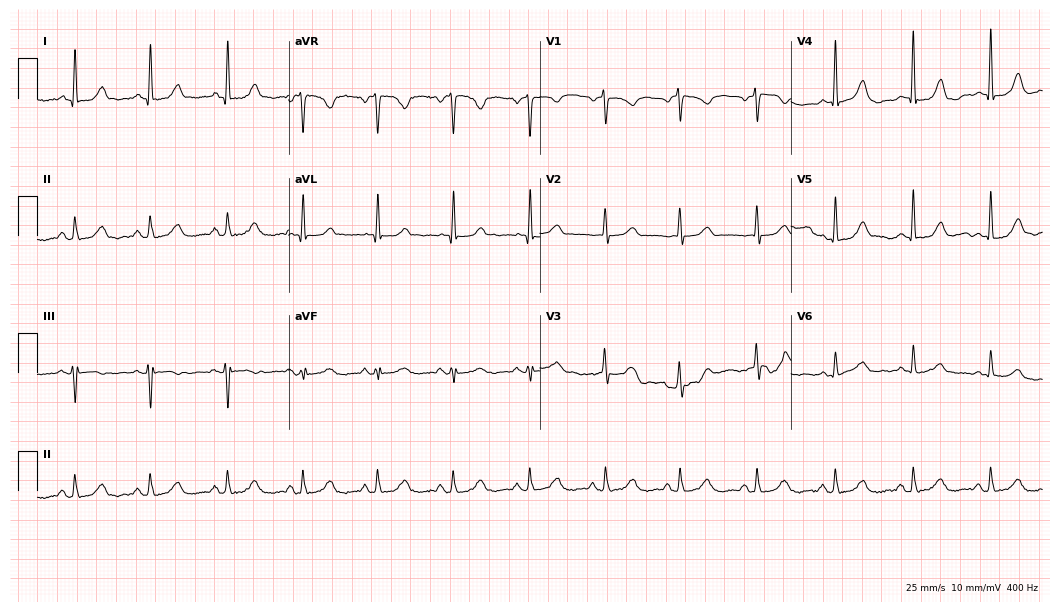
Electrocardiogram, a 44-year-old woman. Overall reading on record: normal ECG.